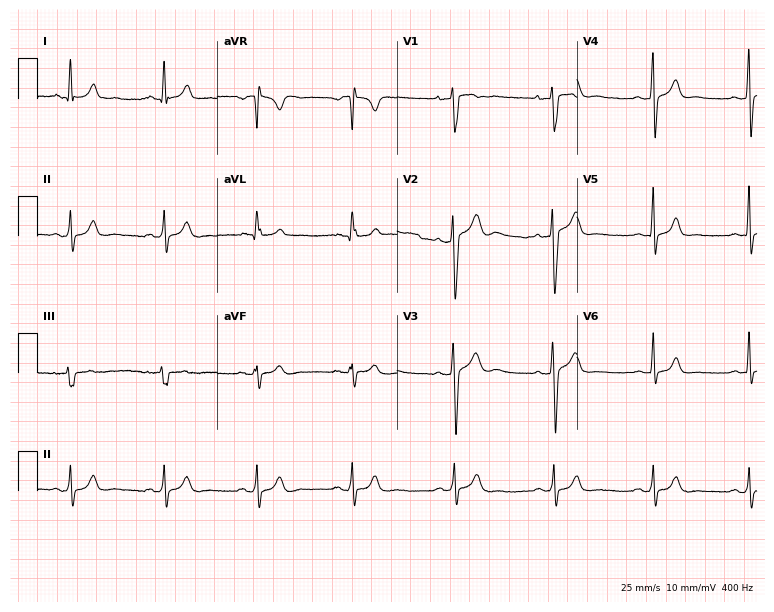
Electrocardiogram, a 24-year-old man. Of the six screened findings (first-degree AV block, right bundle branch block (RBBB), left bundle branch block (LBBB), sinus bradycardia, atrial fibrillation (AF), sinus tachycardia), none is recorded. Other findings, if any, are not listed.